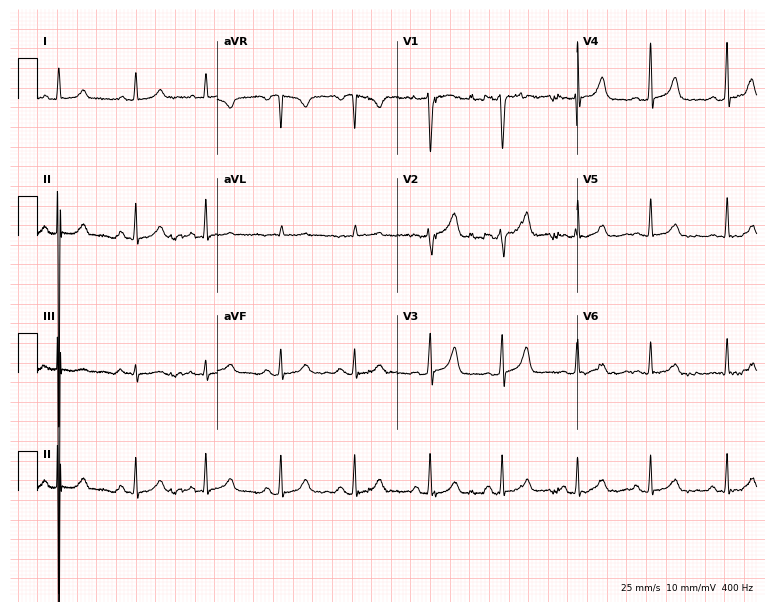
ECG — a 40-year-old woman. Labelled as a normal ECG.